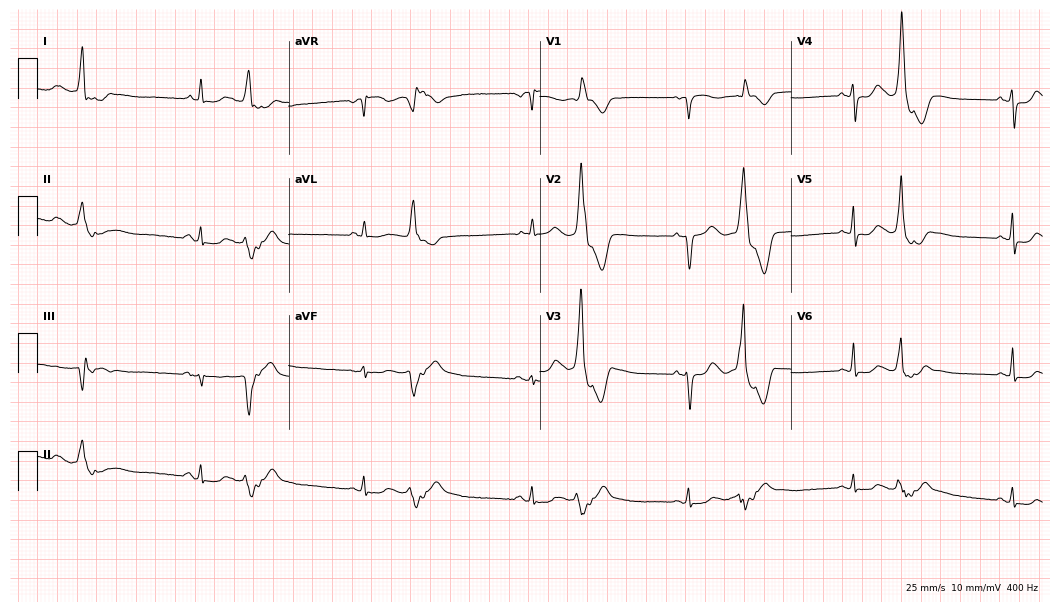
Electrocardiogram, a 64-year-old woman. Of the six screened findings (first-degree AV block, right bundle branch block (RBBB), left bundle branch block (LBBB), sinus bradycardia, atrial fibrillation (AF), sinus tachycardia), none is recorded. Only these six findings were labelled.